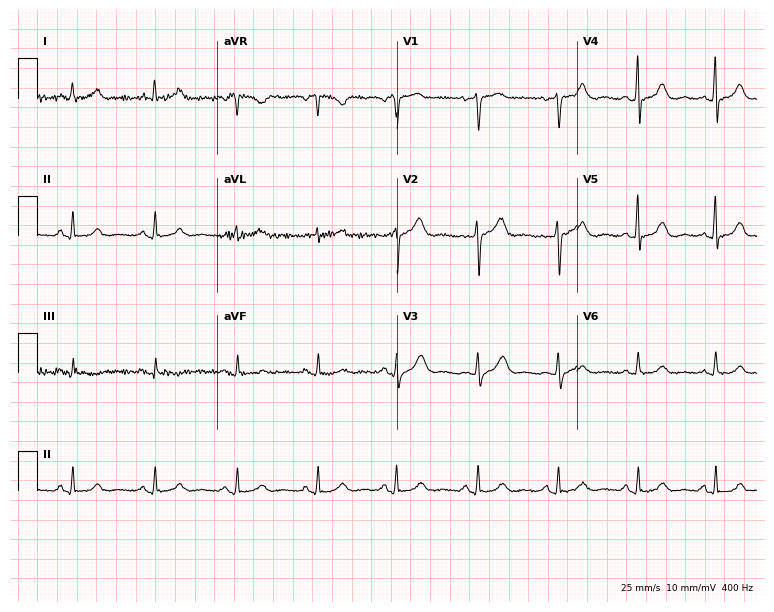
Standard 12-lead ECG recorded from a woman, 59 years old (7.3-second recording at 400 Hz). Read as a normal ECG.